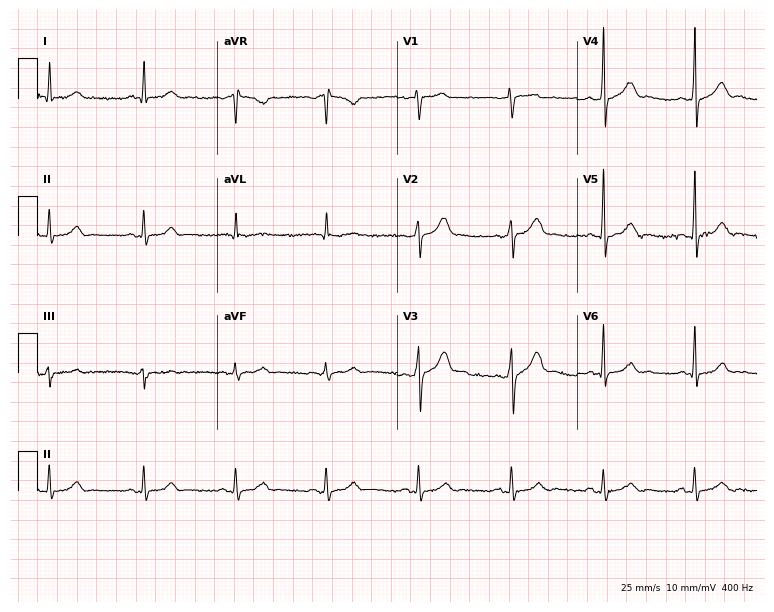
Standard 12-lead ECG recorded from a 41-year-old male patient (7.3-second recording at 400 Hz). None of these six findings is recorded: first-degree AV block, right bundle branch block, left bundle branch block, sinus bradycardia, atrial fibrillation, sinus tachycardia. Findings outside these six are not listed.